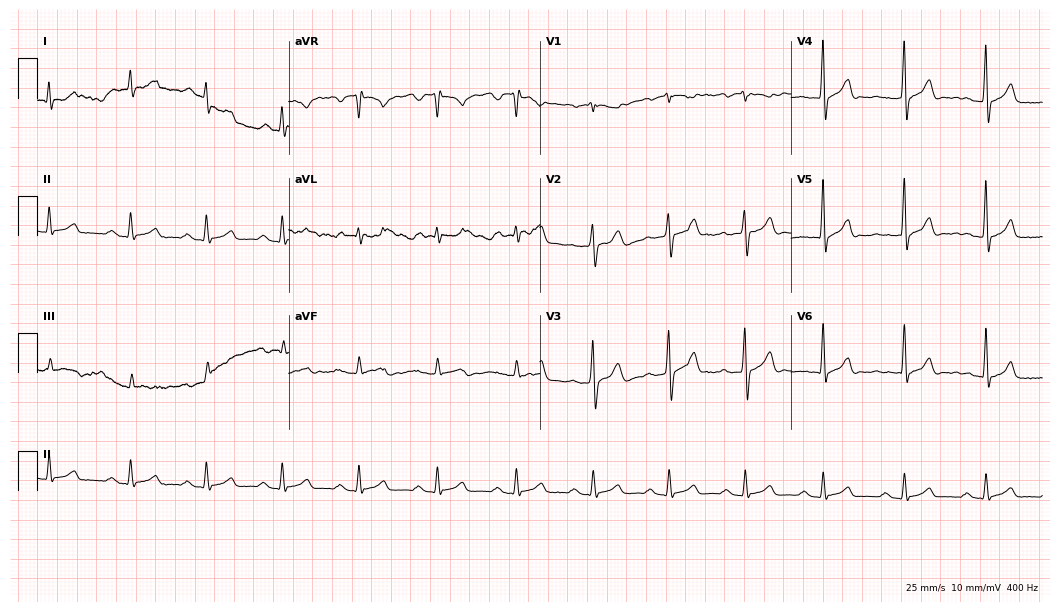
Standard 12-lead ECG recorded from a 49-year-old man (10.2-second recording at 400 Hz). Read as a normal ECG.